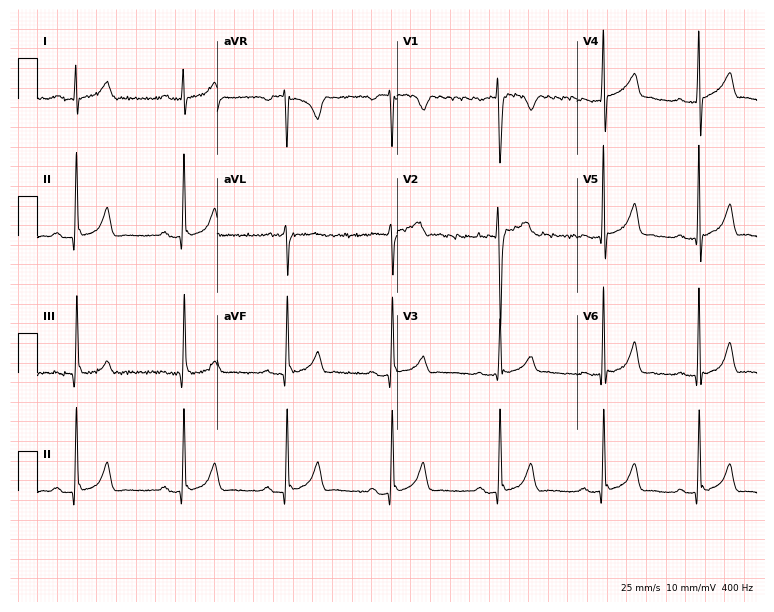
Resting 12-lead electrocardiogram (7.3-second recording at 400 Hz). Patient: a male, 24 years old. The tracing shows first-degree AV block.